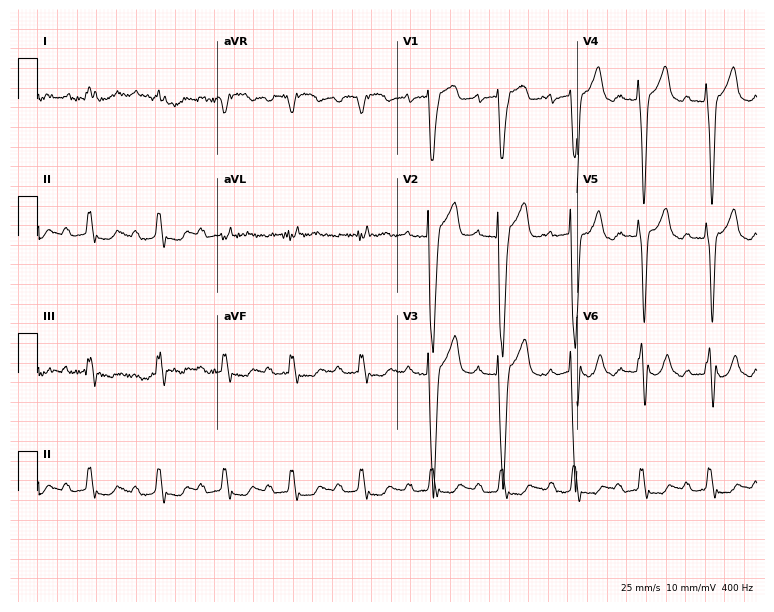
12-lead ECG from a female, 74 years old. Screened for six findings — first-degree AV block, right bundle branch block (RBBB), left bundle branch block (LBBB), sinus bradycardia, atrial fibrillation (AF), sinus tachycardia — none is recorded.